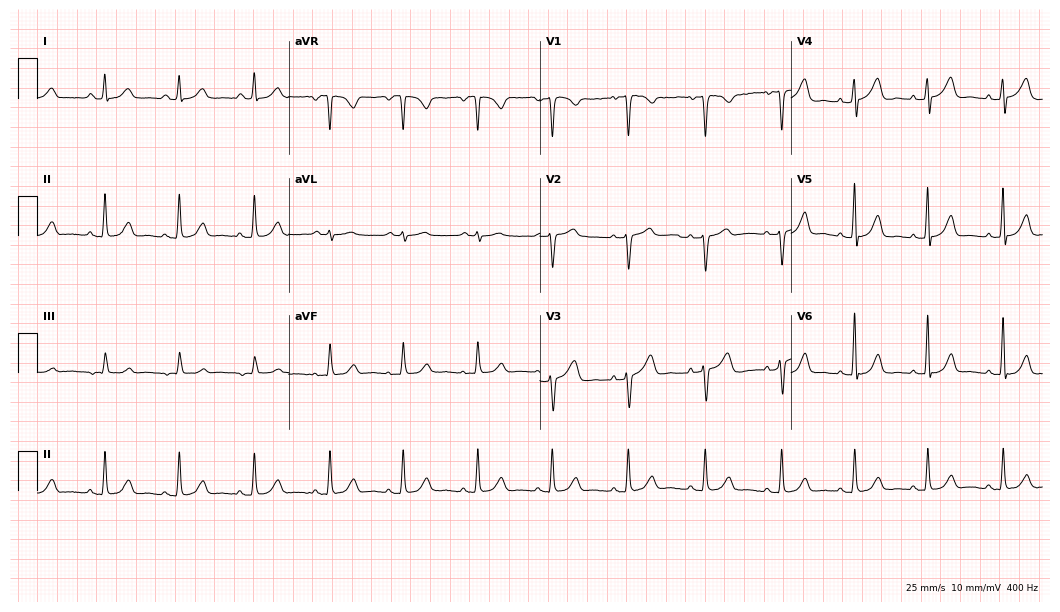
Standard 12-lead ECG recorded from a 42-year-old female (10.2-second recording at 400 Hz). None of these six findings is recorded: first-degree AV block, right bundle branch block, left bundle branch block, sinus bradycardia, atrial fibrillation, sinus tachycardia. Other findings, if any, are not listed.